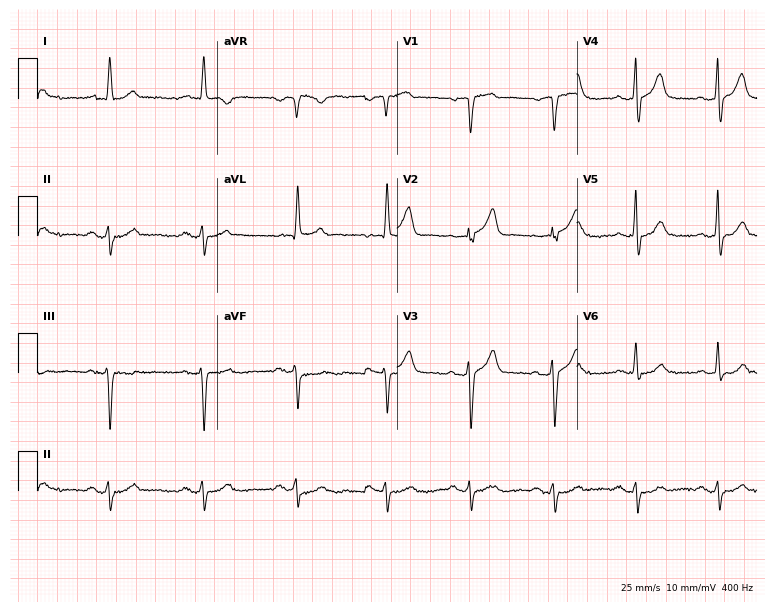
Resting 12-lead electrocardiogram. Patient: a 70-year-old man. None of these six findings is recorded: first-degree AV block, right bundle branch block, left bundle branch block, sinus bradycardia, atrial fibrillation, sinus tachycardia.